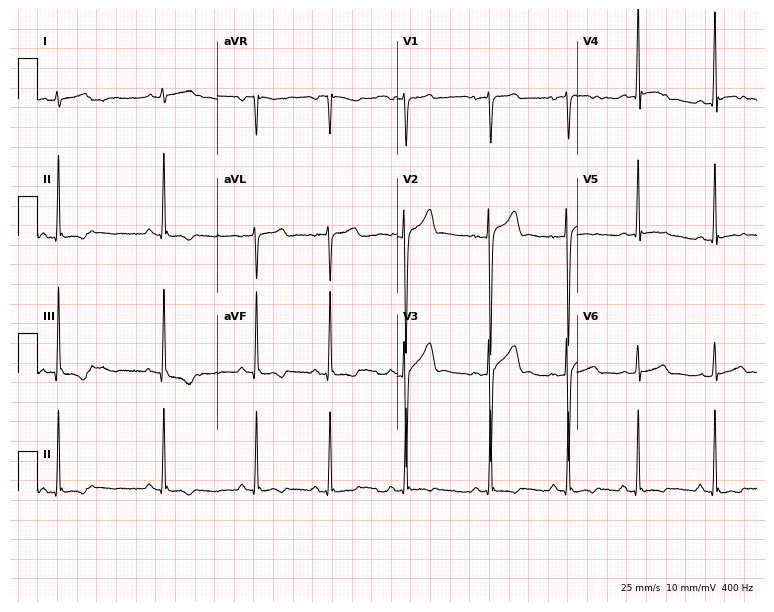
Standard 12-lead ECG recorded from a 20-year-old man (7.3-second recording at 400 Hz). None of these six findings is recorded: first-degree AV block, right bundle branch block, left bundle branch block, sinus bradycardia, atrial fibrillation, sinus tachycardia. Other findings, if any, are not listed.